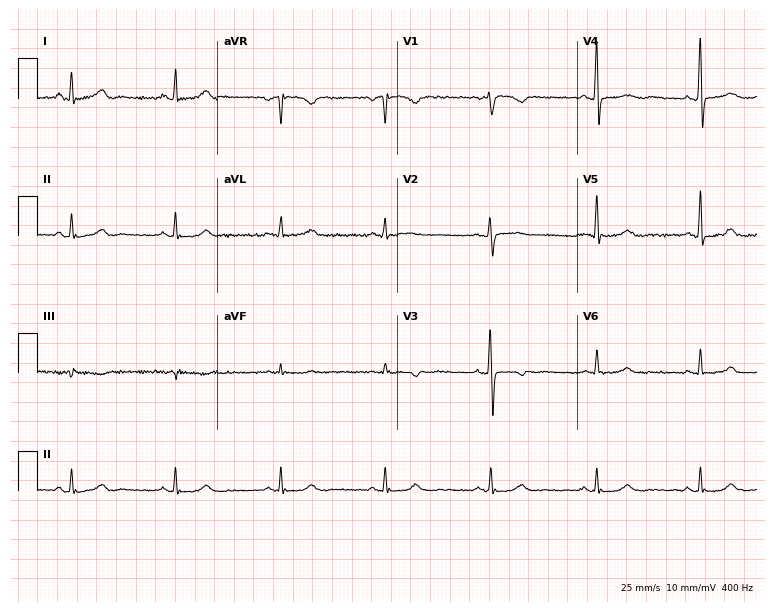
12-lead ECG from a female, 73 years old. Recorded interpretation: within normal limits.